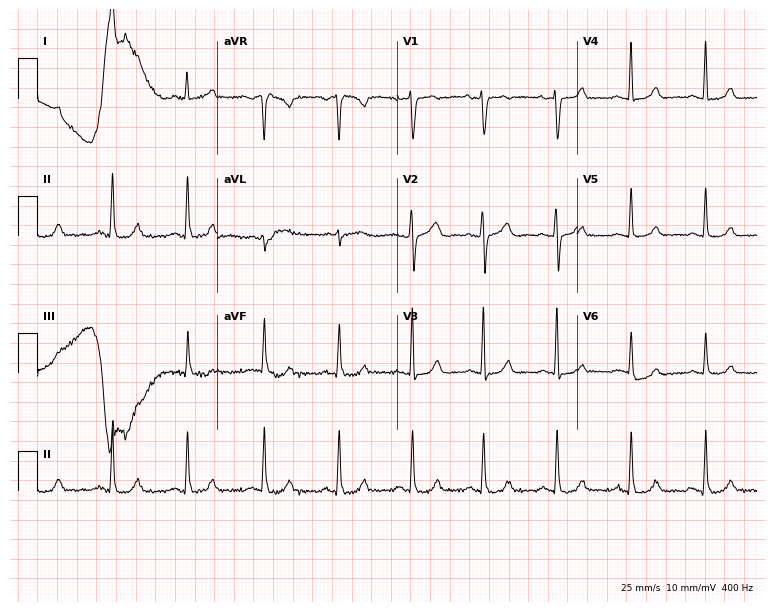
Electrocardiogram (7.3-second recording at 400 Hz), a woman, 47 years old. Overall reading on record: normal ECG.